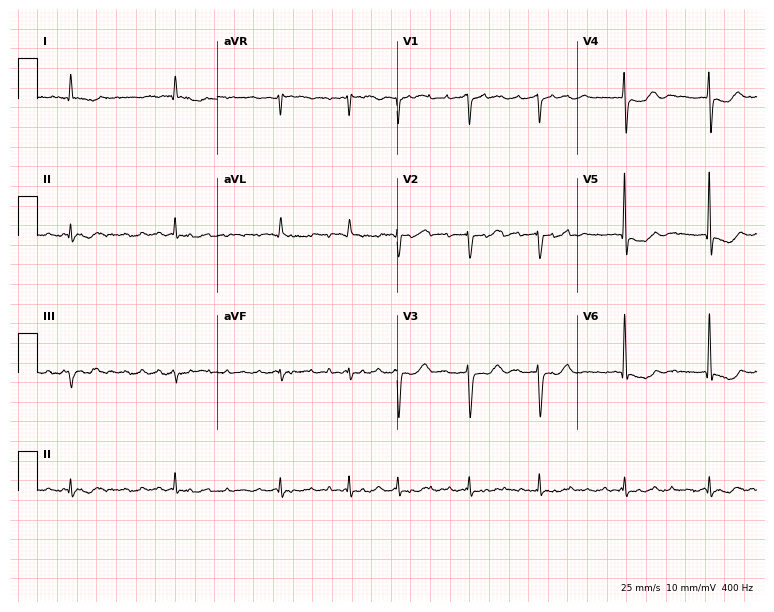
ECG (7.3-second recording at 400 Hz) — a man, 71 years old. Findings include atrial fibrillation.